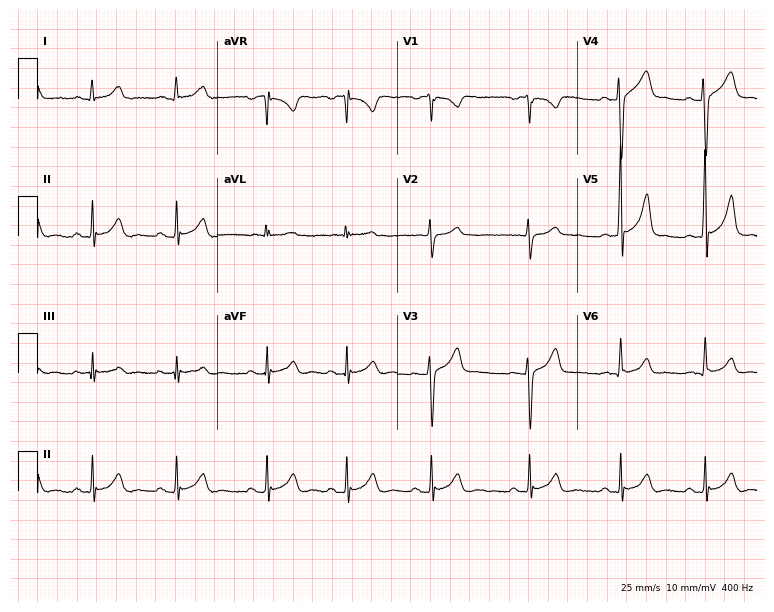
ECG (7.3-second recording at 400 Hz) — a 26-year-old female. Labelled as a normal ECG.